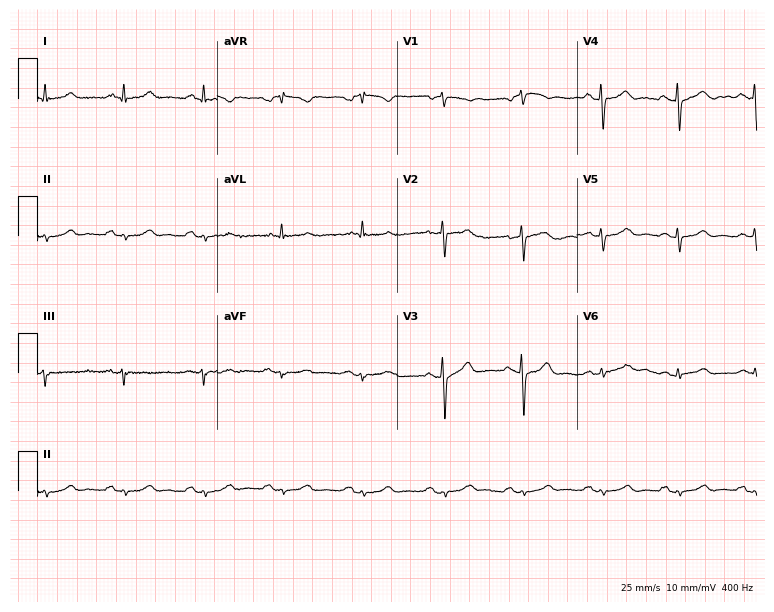
Standard 12-lead ECG recorded from a 60-year-old man (7.3-second recording at 400 Hz). None of these six findings is recorded: first-degree AV block, right bundle branch block, left bundle branch block, sinus bradycardia, atrial fibrillation, sinus tachycardia. Other findings, if any, are not listed.